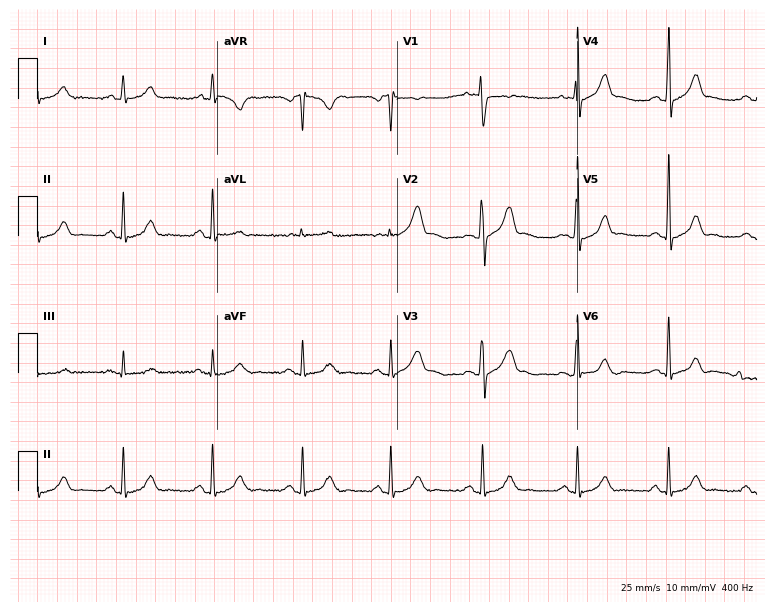
12-lead ECG from a 36-year-old male patient. Recorded interpretation: within normal limits.